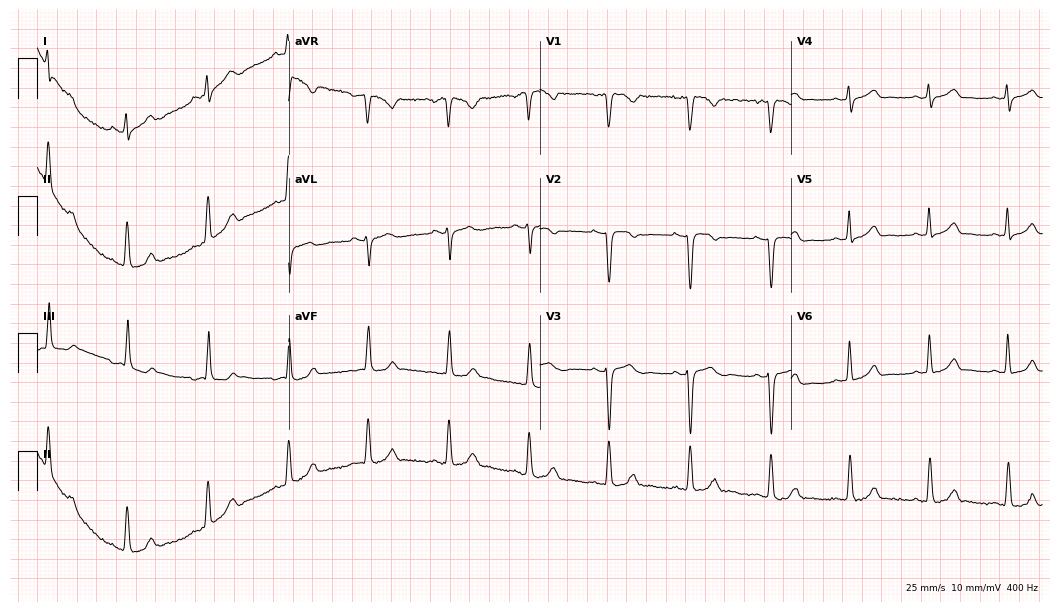
Electrocardiogram, a 27-year-old woman. Overall reading on record: normal ECG.